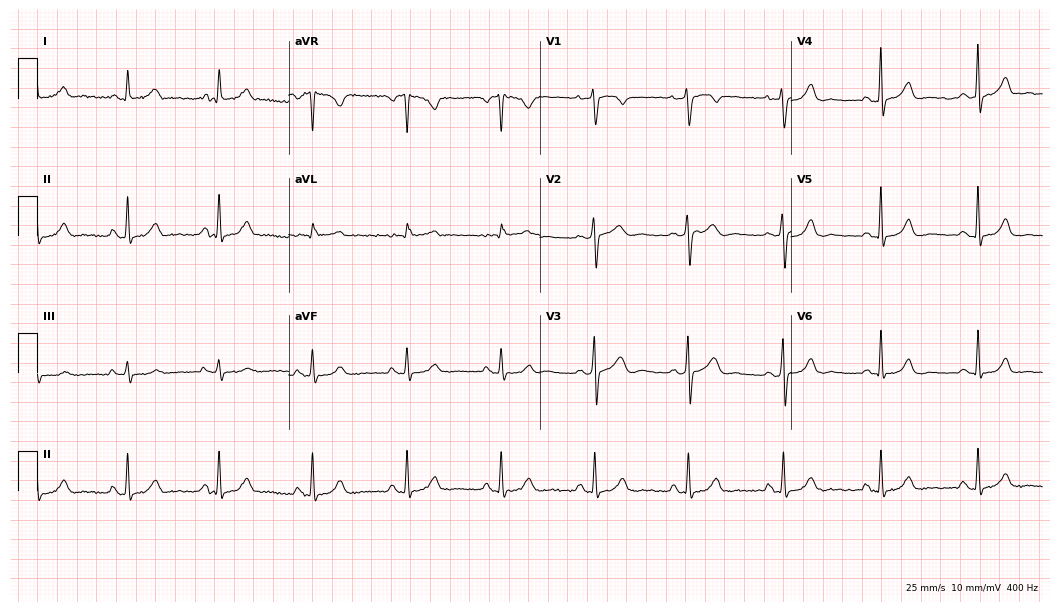
Standard 12-lead ECG recorded from a 45-year-old woman. Read as a normal ECG.